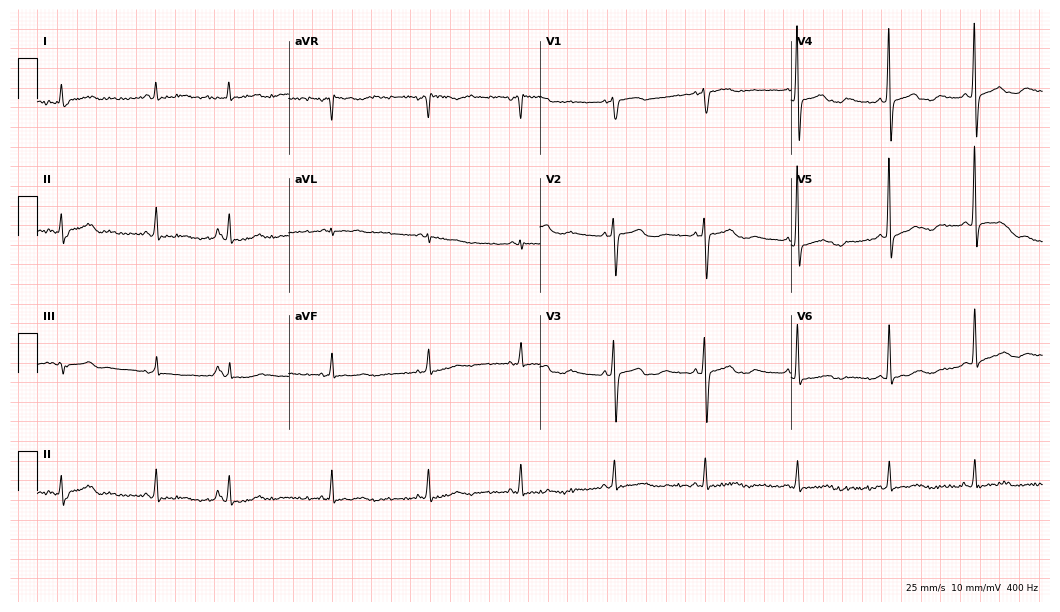
12-lead ECG from a woman, 77 years old. Screened for six findings — first-degree AV block, right bundle branch block, left bundle branch block, sinus bradycardia, atrial fibrillation, sinus tachycardia — none is recorded.